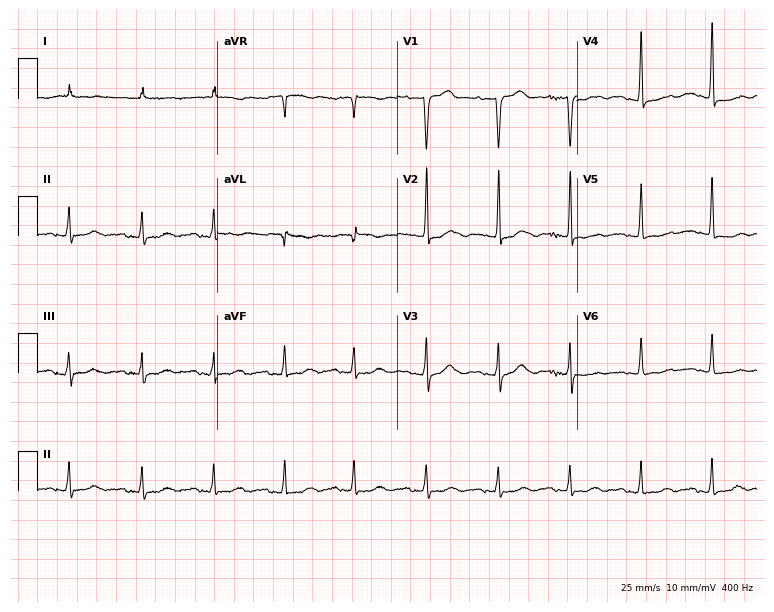
Standard 12-lead ECG recorded from an 81-year-old female (7.3-second recording at 400 Hz). None of these six findings is recorded: first-degree AV block, right bundle branch block (RBBB), left bundle branch block (LBBB), sinus bradycardia, atrial fibrillation (AF), sinus tachycardia. Other findings, if any, are not listed.